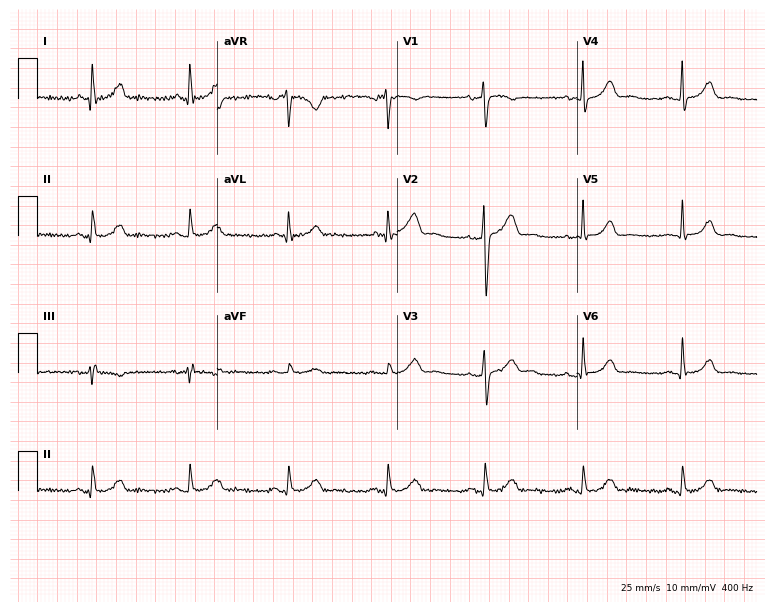
12-lead ECG from a male, 55 years old (7.3-second recording at 400 Hz). No first-degree AV block, right bundle branch block (RBBB), left bundle branch block (LBBB), sinus bradycardia, atrial fibrillation (AF) or sinus tachycardia recorded for this tracing. Only these six findings were labelled.